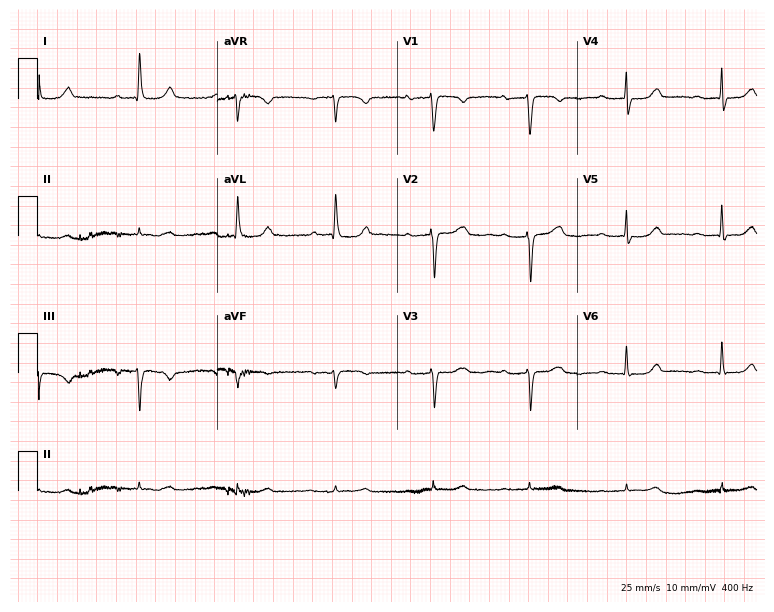
Electrocardiogram, a 77-year-old female. Of the six screened findings (first-degree AV block, right bundle branch block, left bundle branch block, sinus bradycardia, atrial fibrillation, sinus tachycardia), none is recorded. Other findings, if any, are not listed.